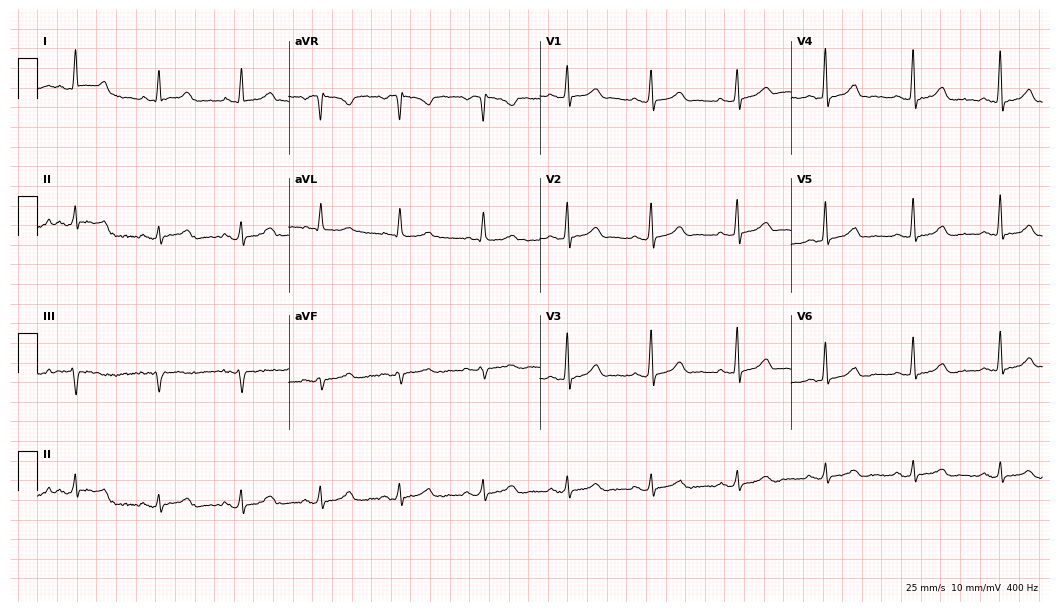
12-lead ECG (10.2-second recording at 400 Hz) from a female patient, 44 years old. Screened for six findings — first-degree AV block, right bundle branch block (RBBB), left bundle branch block (LBBB), sinus bradycardia, atrial fibrillation (AF), sinus tachycardia — none is recorded.